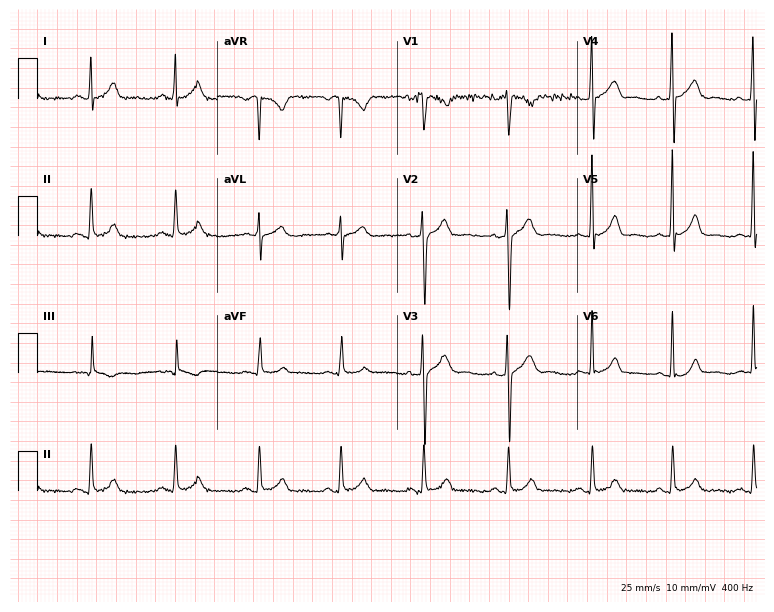
12-lead ECG from a 37-year-old male patient. Recorded interpretation: within normal limits.